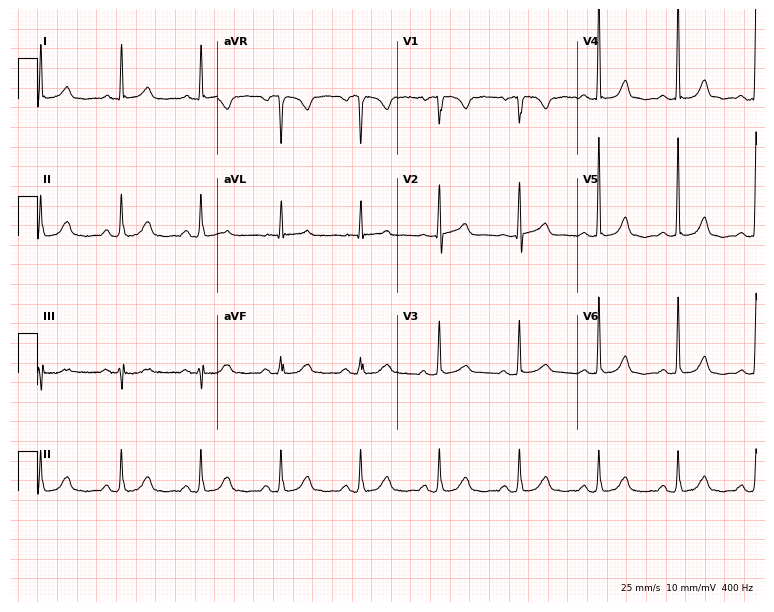
12-lead ECG from a 67-year-old female (7.3-second recording at 400 Hz). Recorded interpretation: within normal limits.